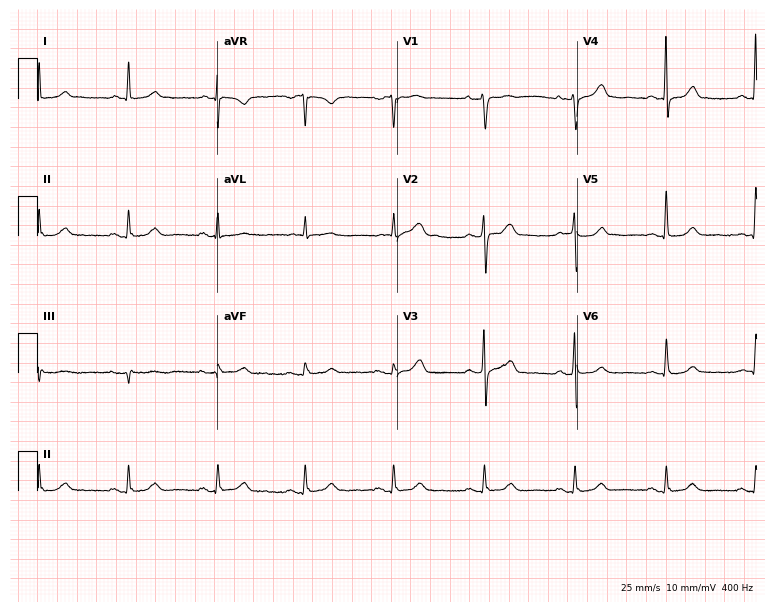
Resting 12-lead electrocardiogram. Patient: a 60-year-old female. None of these six findings is recorded: first-degree AV block, right bundle branch block, left bundle branch block, sinus bradycardia, atrial fibrillation, sinus tachycardia.